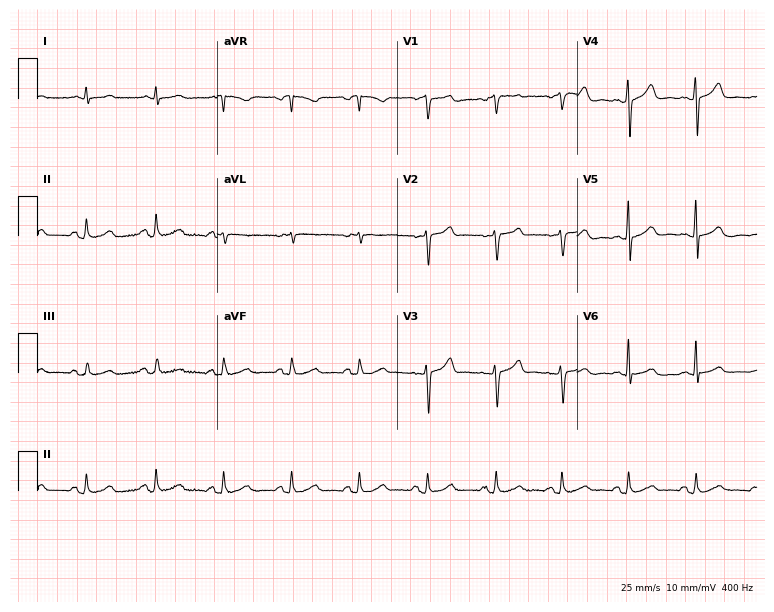
12-lead ECG from a 58-year-old male (7.3-second recording at 400 Hz). Recorded interpretation: within normal limits.